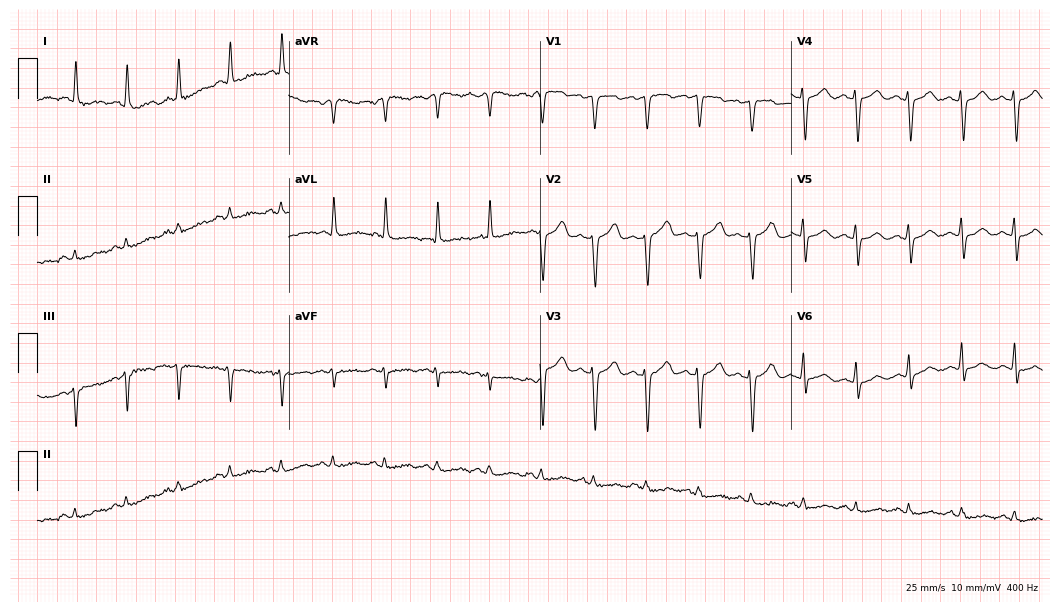
Electrocardiogram, a female patient, 61 years old. Of the six screened findings (first-degree AV block, right bundle branch block, left bundle branch block, sinus bradycardia, atrial fibrillation, sinus tachycardia), none is recorded.